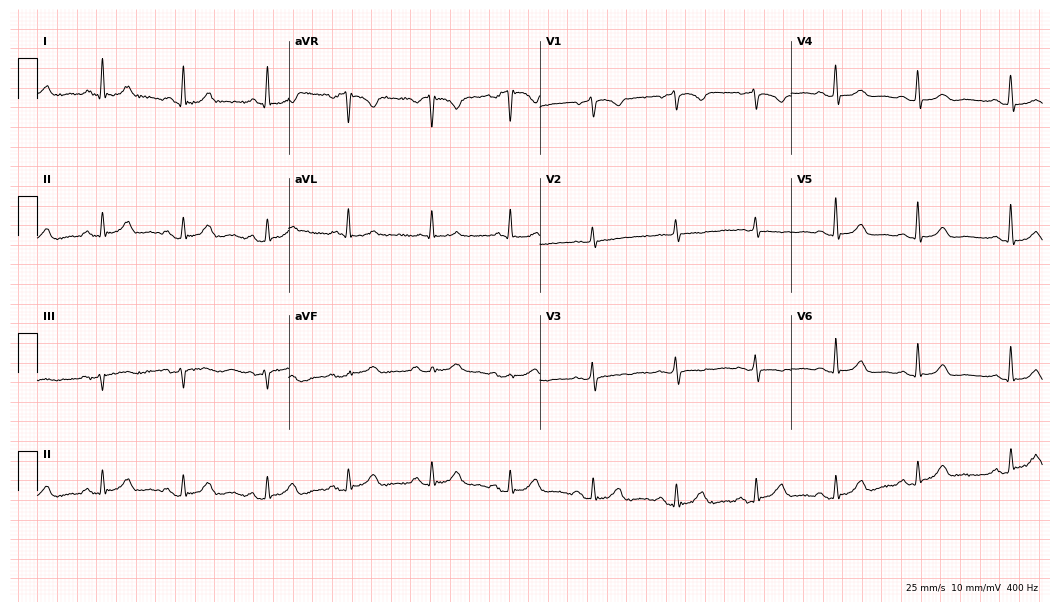
Electrocardiogram (10.2-second recording at 400 Hz), a female patient, 75 years old. Overall reading on record: normal ECG.